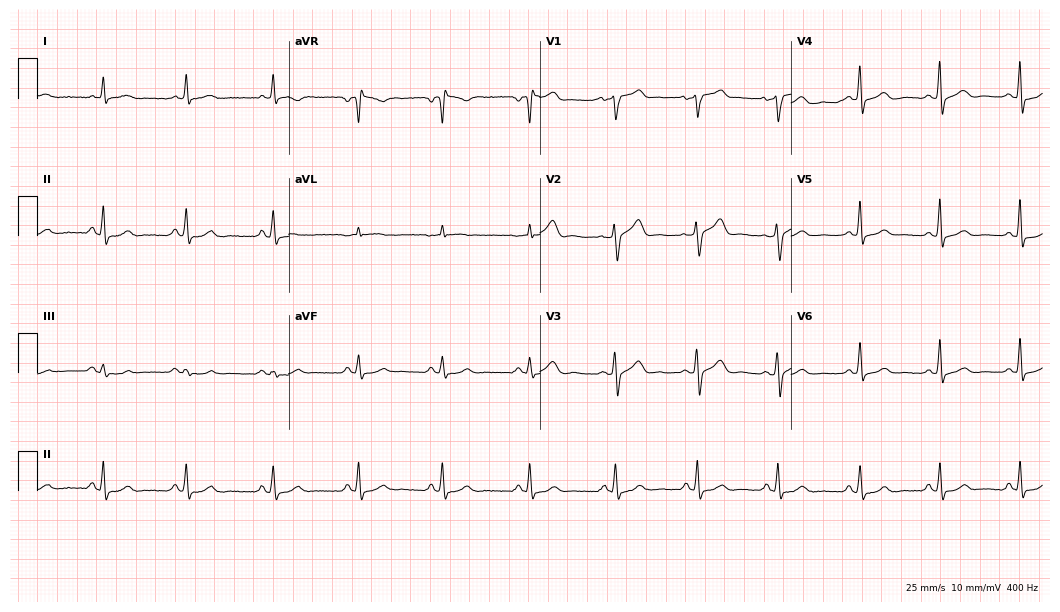
Resting 12-lead electrocardiogram (10.2-second recording at 400 Hz). Patient: a 52-year-old man. Read as a normal ECG.